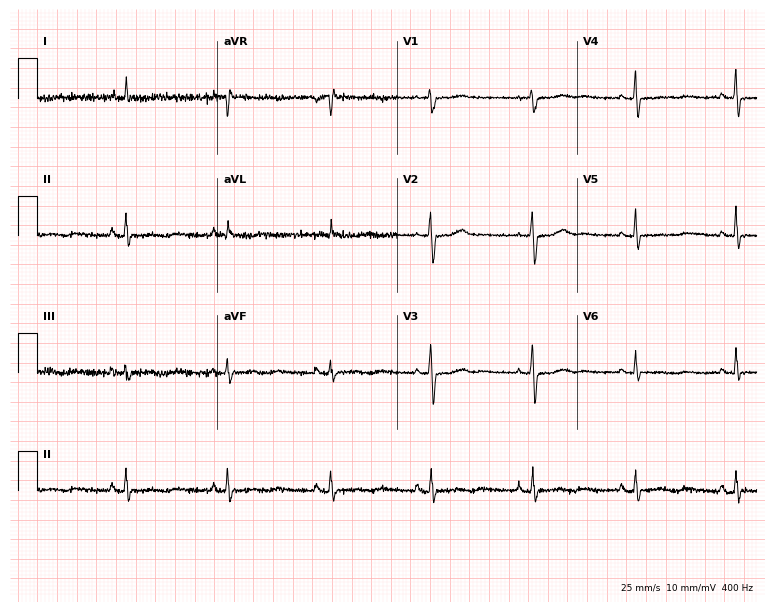
Electrocardiogram (7.3-second recording at 400 Hz), a female, 64 years old. Of the six screened findings (first-degree AV block, right bundle branch block, left bundle branch block, sinus bradycardia, atrial fibrillation, sinus tachycardia), none is recorded. Findings outside these six are not listed.